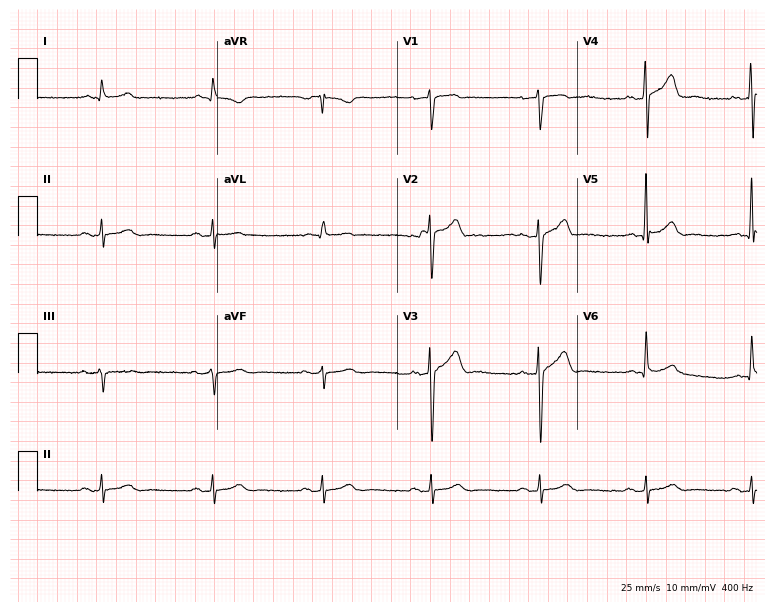
12-lead ECG from a male patient, 63 years old. Labelled as a normal ECG.